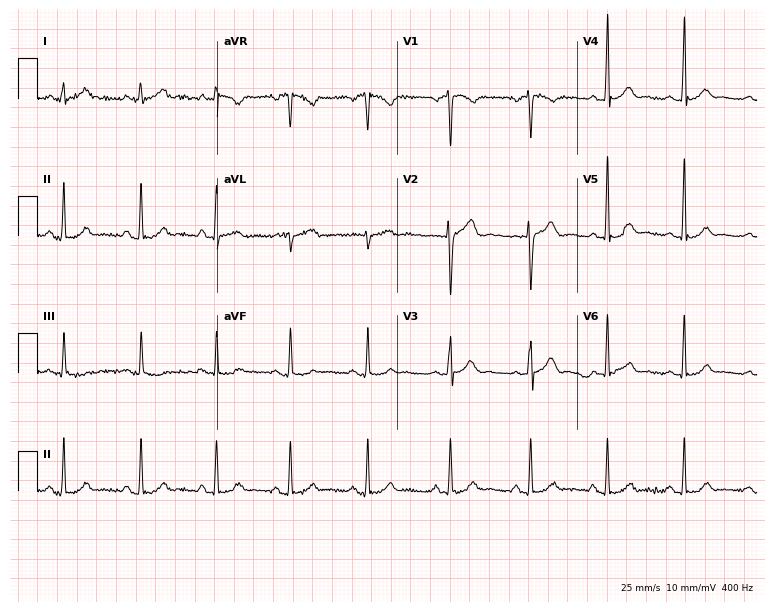
Standard 12-lead ECG recorded from a 36-year-old man. Read as a normal ECG.